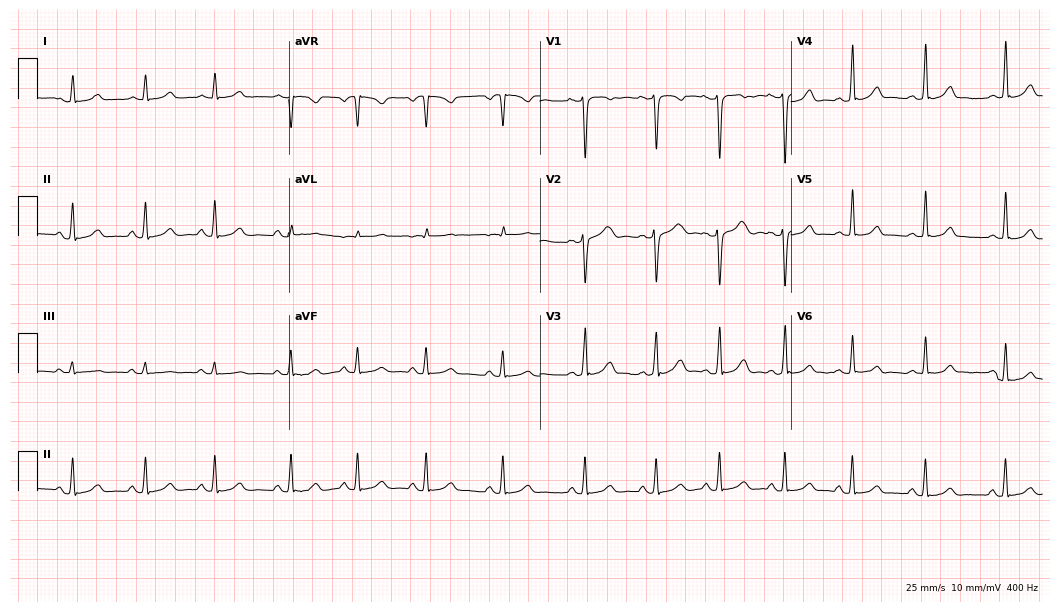
12-lead ECG from a 29-year-old woman. Recorded interpretation: within normal limits.